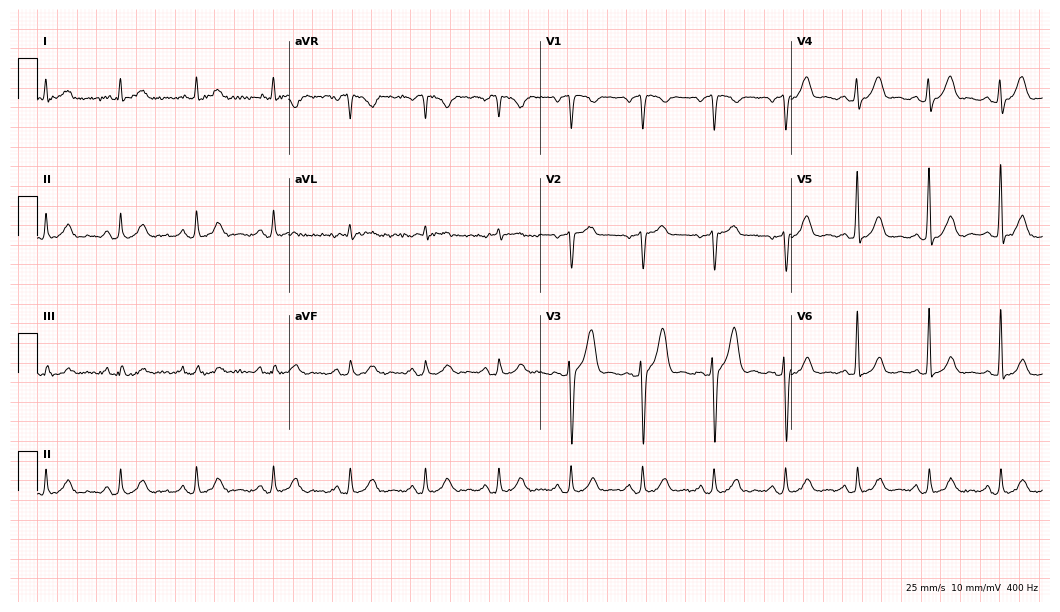
12-lead ECG from a 64-year-old male patient. Screened for six findings — first-degree AV block, right bundle branch block, left bundle branch block, sinus bradycardia, atrial fibrillation, sinus tachycardia — none is recorded.